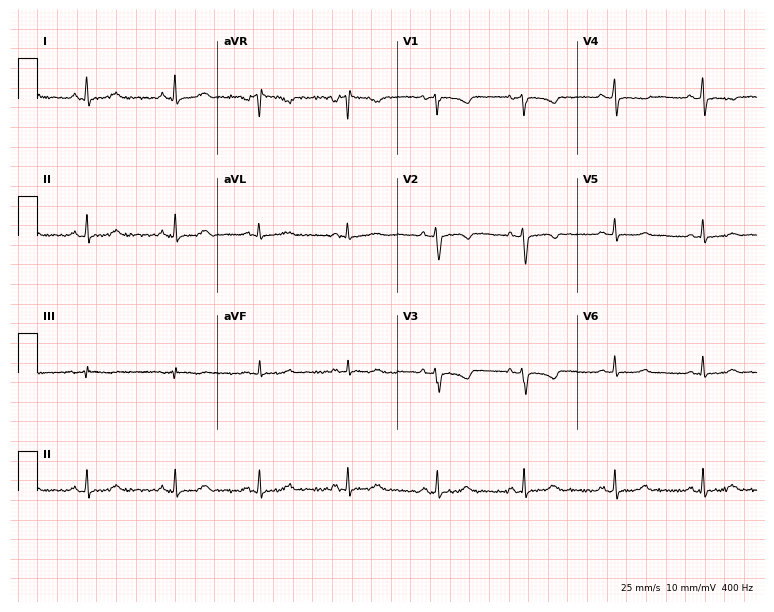
Standard 12-lead ECG recorded from a woman, 45 years old. Read as a normal ECG.